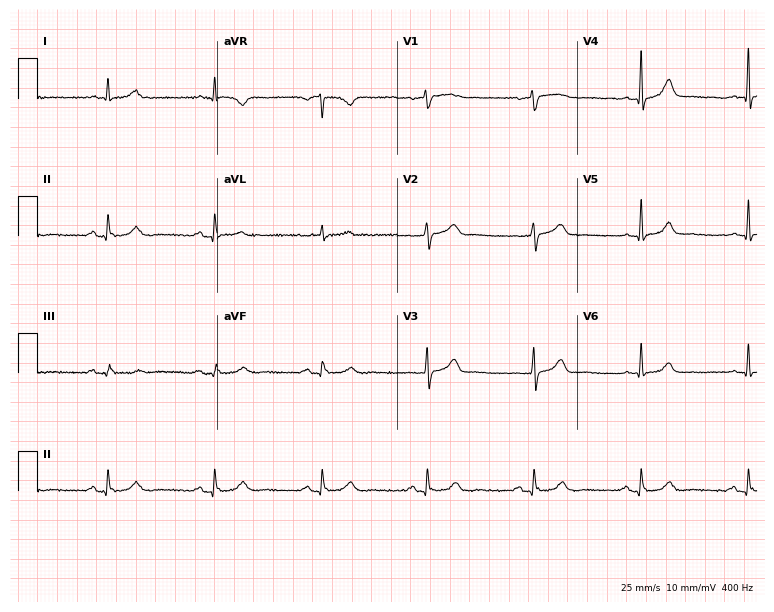
Standard 12-lead ECG recorded from a 67-year-old man (7.3-second recording at 400 Hz). Read as a normal ECG.